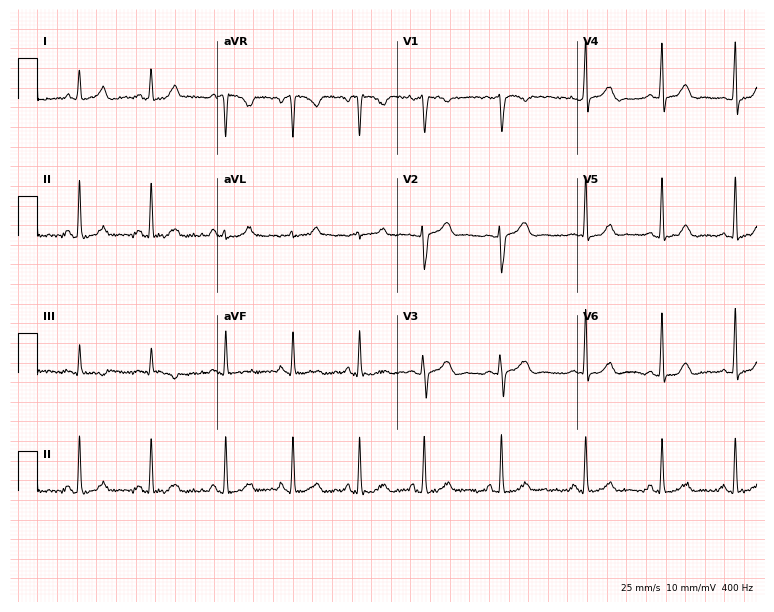
Standard 12-lead ECG recorded from a 26-year-old female patient (7.3-second recording at 400 Hz). Read as a normal ECG.